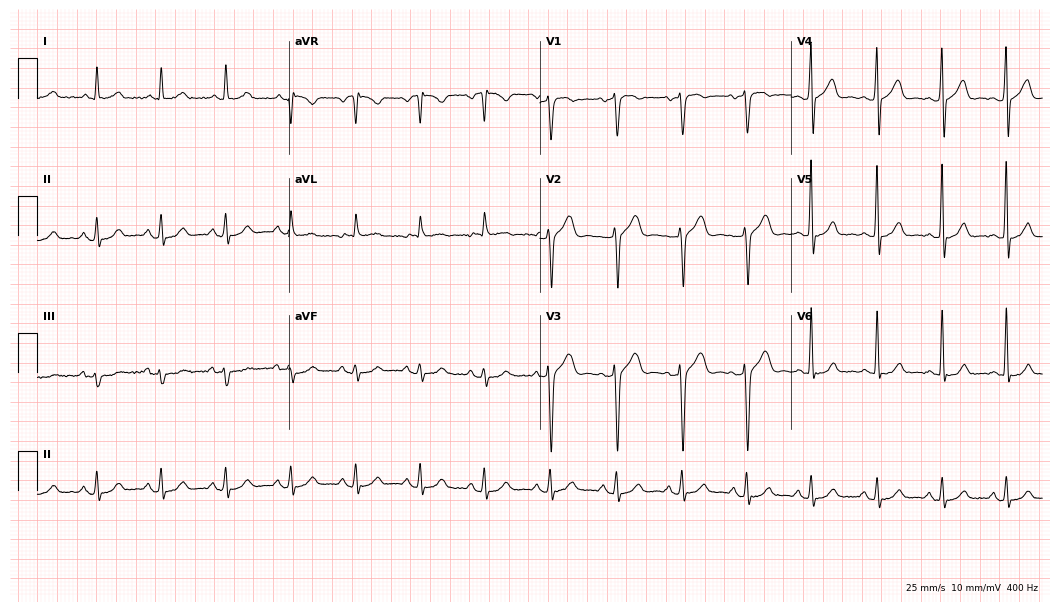
12-lead ECG (10.2-second recording at 400 Hz) from a man, 35 years old. Screened for six findings — first-degree AV block, right bundle branch block, left bundle branch block, sinus bradycardia, atrial fibrillation, sinus tachycardia — none is recorded.